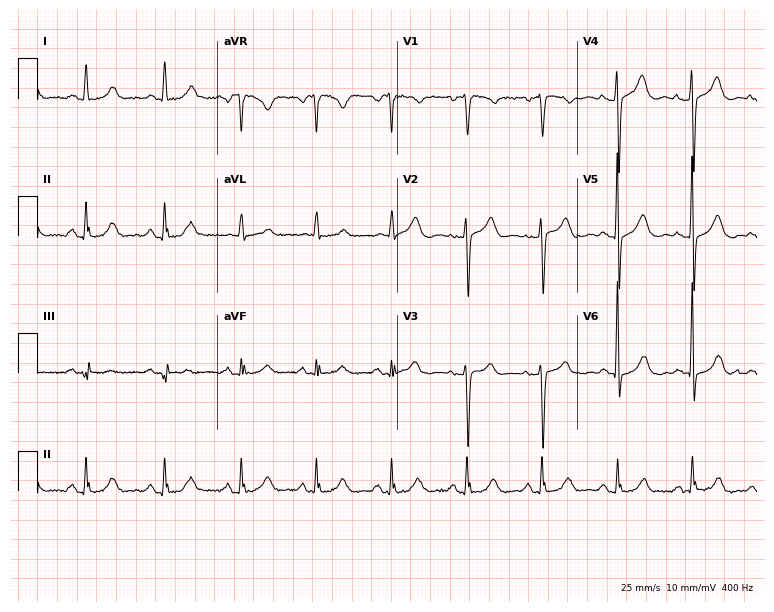
12-lead ECG from a female patient, 58 years old. Recorded interpretation: within normal limits.